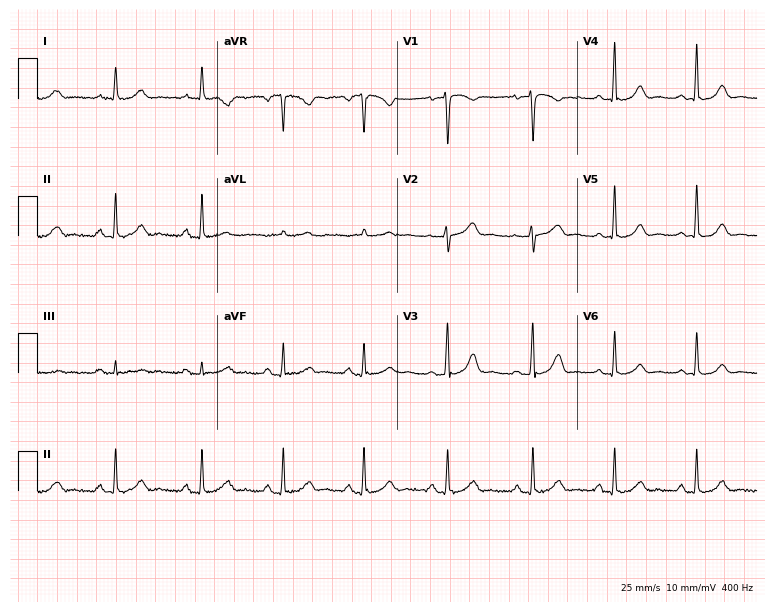
ECG — a 45-year-old female. Labelled as a normal ECG.